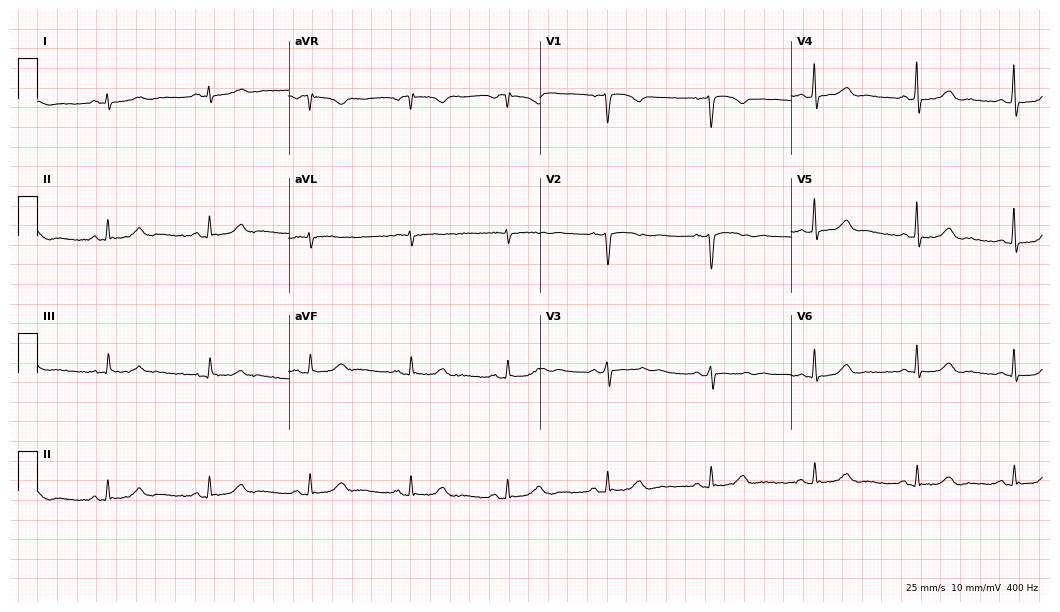
Electrocardiogram (10.2-second recording at 400 Hz), a female, 46 years old. Of the six screened findings (first-degree AV block, right bundle branch block, left bundle branch block, sinus bradycardia, atrial fibrillation, sinus tachycardia), none is recorded. Findings outside these six are not listed.